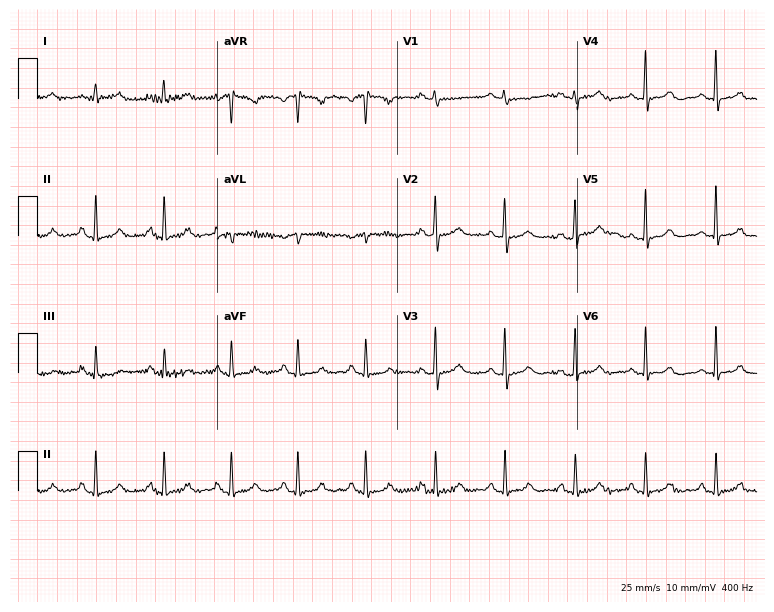
ECG (7.3-second recording at 400 Hz) — a 31-year-old female. Labelled as a normal ECG.